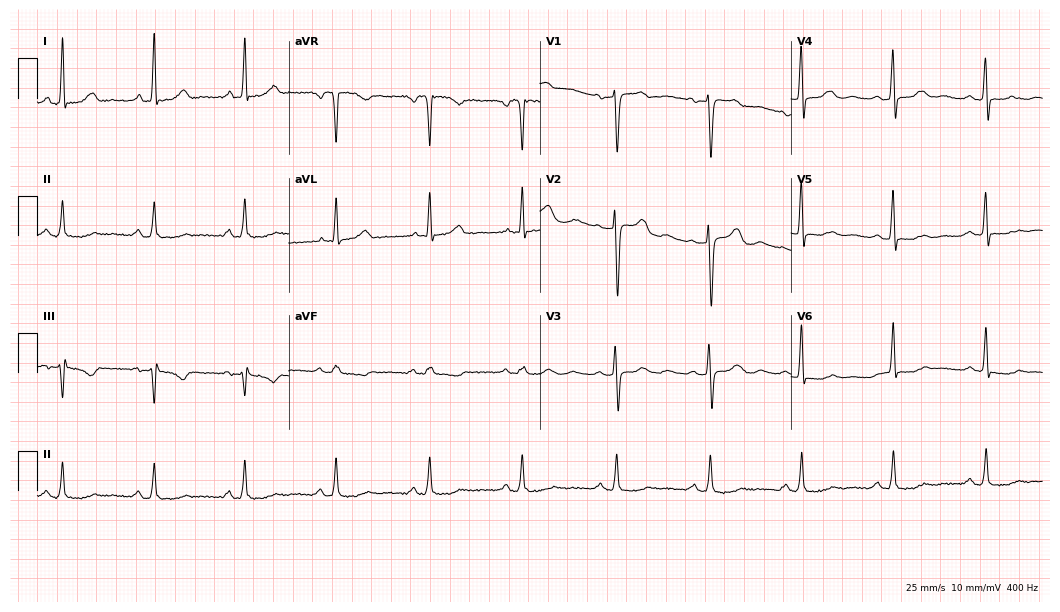
ECG — a female patient, 52 years old. Labelled as a normal ECG.